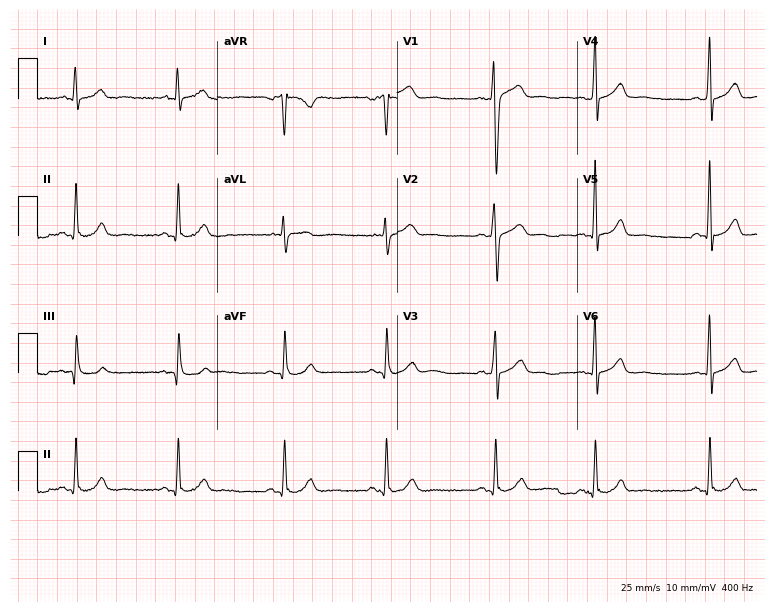
Resting 12-lead electrocardiogram (7.3-second recording at 400 Hz). Patient: a man, 22 years old. Read as a normal ECG.